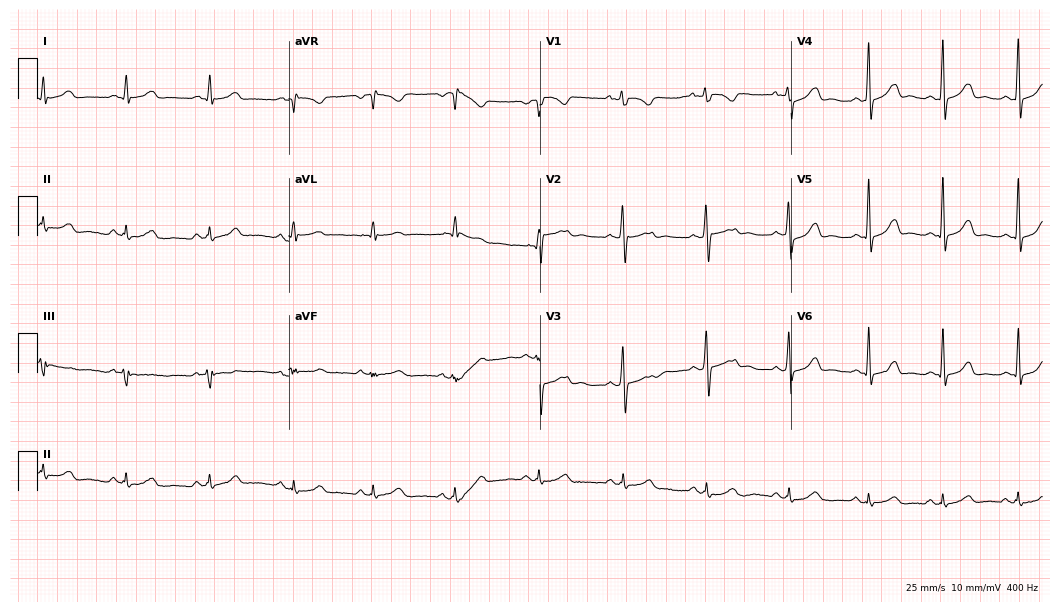
12-lead ECG from a woman, 26 years old. Screened for six findings — first-degree AV block, right bundle branch block (RBBB), left bundle branch block (LBBB), sinus bradycardia, atrial fibrillation (AF), sinus tachycardia — none is recorded. Findings outside these six are not listed.